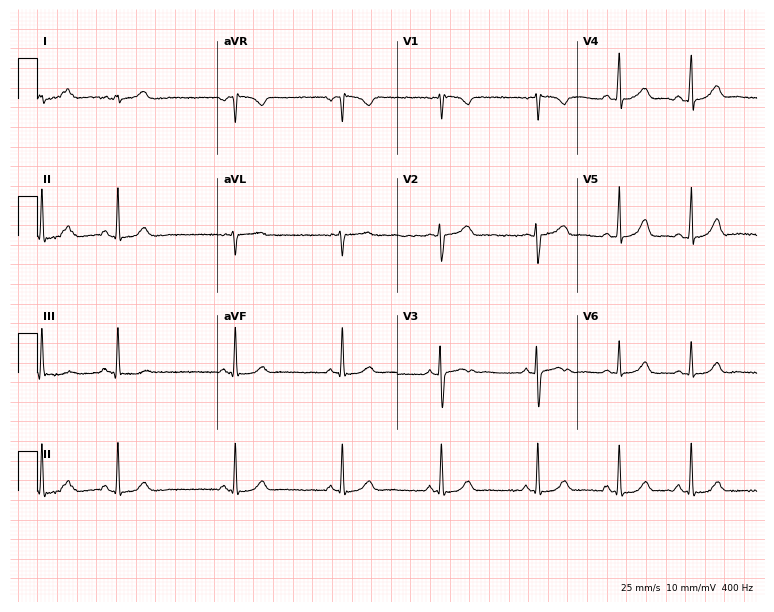
Standard 12-lead ECG recorded from a female patient, 18 years old (7.3-second recording at 400 Hz). None of these six findings is recorded: first-degree AV block, right bundle branch block (RBBB), left bundle branch block (LBBB), sinus bradycardia, atrial fibrillation (AF), sinus tachycardia.